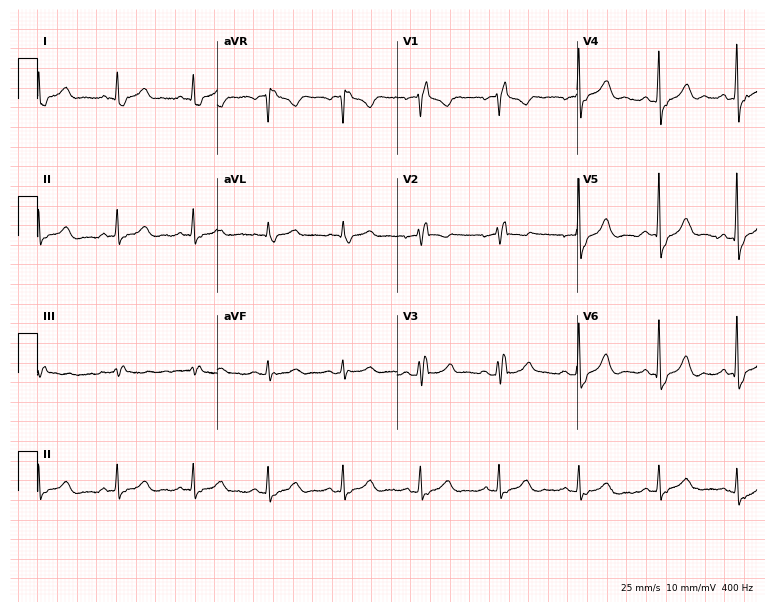
Resting 12-lead electrocardiogram. Patient: a male, 57 years old. The tracing shows right bundle branch block.